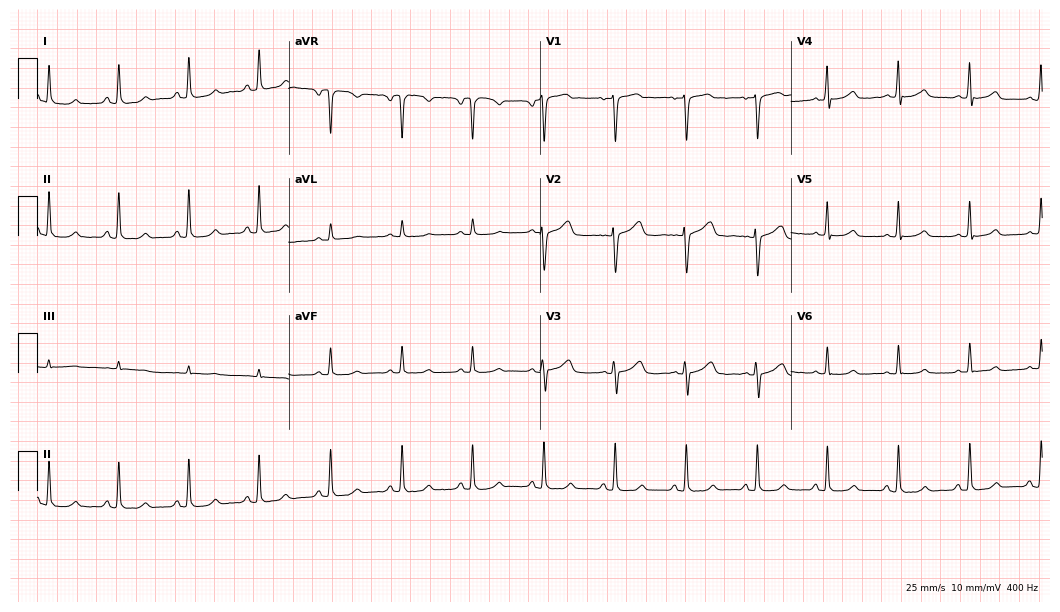
12-lead ECG from a 55-year-old woman. Recorded interpretation: within normal limits.